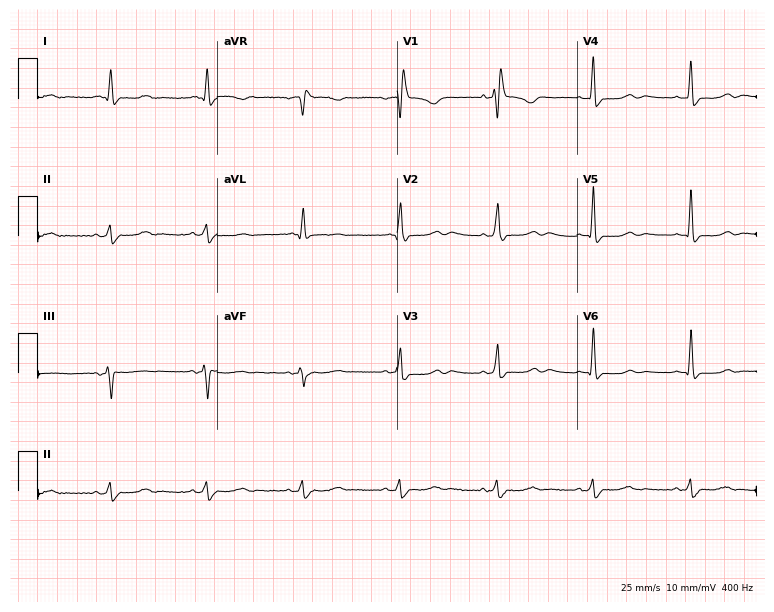
ECG — an 80-year-old female patient. Findings include right bundle branch block (RBBB).